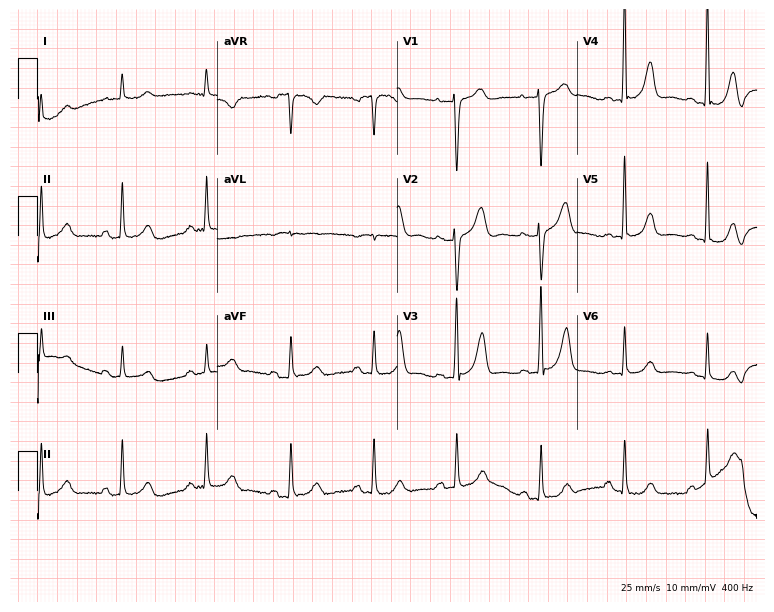
Standard 12-lead ECG recorded from a female patient, 58 years old. Read as a normal ECG.